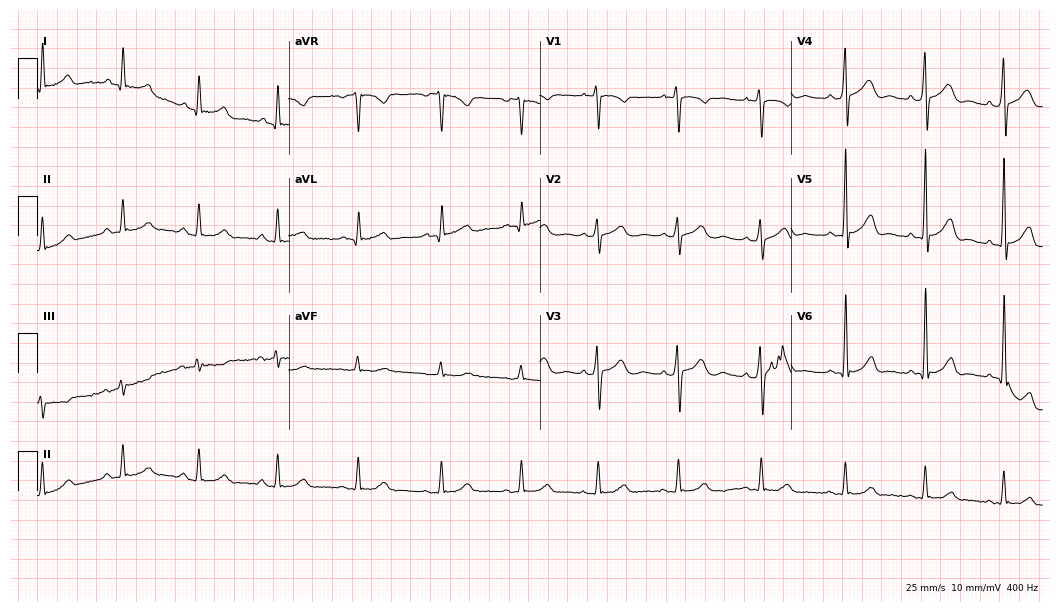
Standard 12-lead ECG recorded from a man, 42 years old. Read as a normal ECG.